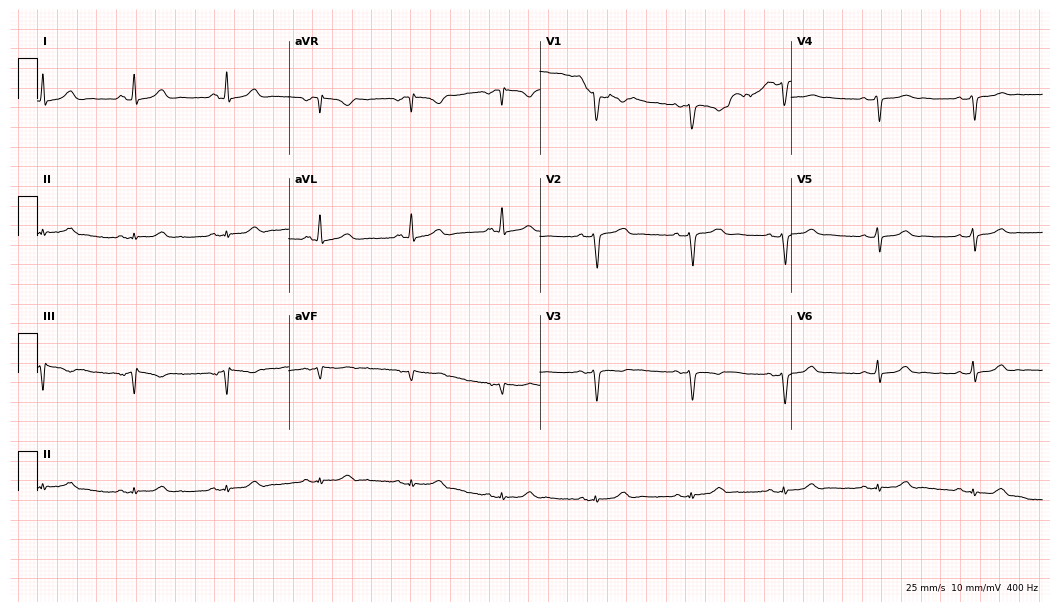
Electrocardiogram, a 37-year-old female patient. Of the six screened findings (first-degree AV block, right bundle branch block, left bundle branch block, sinus bradycardia, atrial fibrillation, sinus tachycardia), none is recorded.